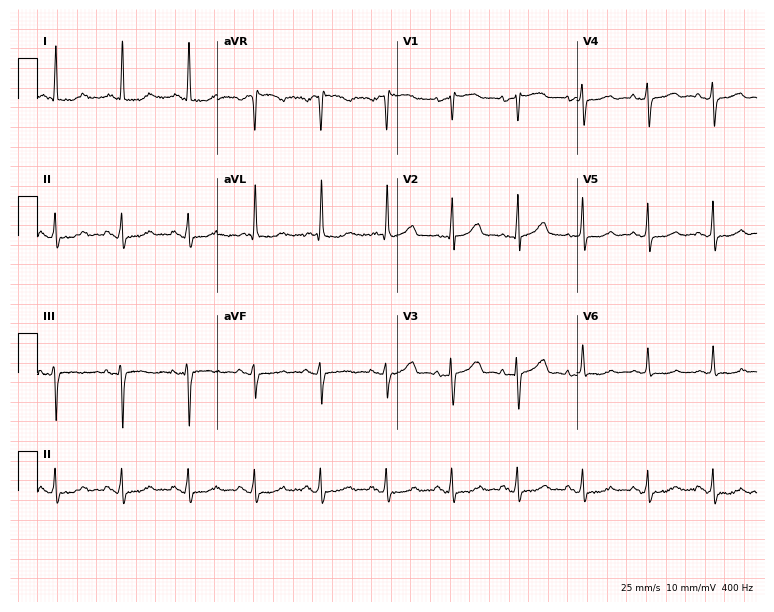
ECG (7.3-second recording at 400 Hz) — a female patient, 70 years old. Screened for six findings — first-degree AV block, right bundle branch block, left bundle branch block, sinus bradycardia, atrial fibrillation, sinus tachycardia — none is recorded. Findings outside these six are not listed.